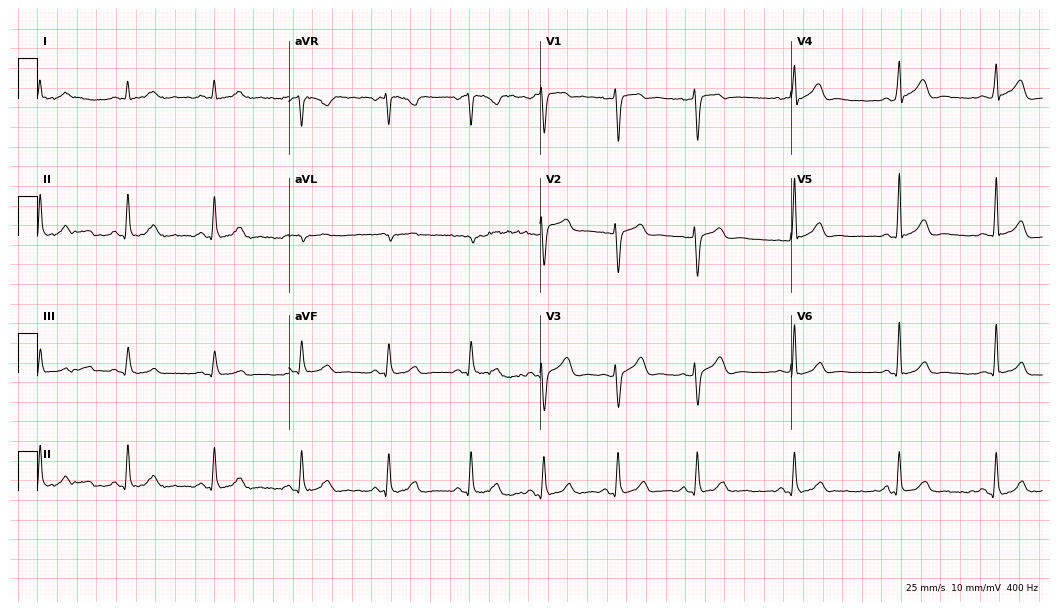
Resting 12-lead electrocardiogram. Patient: a 33-year-old man. None of these six findings is recorded: first-degree AV block, right bundle branch block, left bundle branch block, sinus bradycardia, atrial fibrillation, sinus tachycardia.